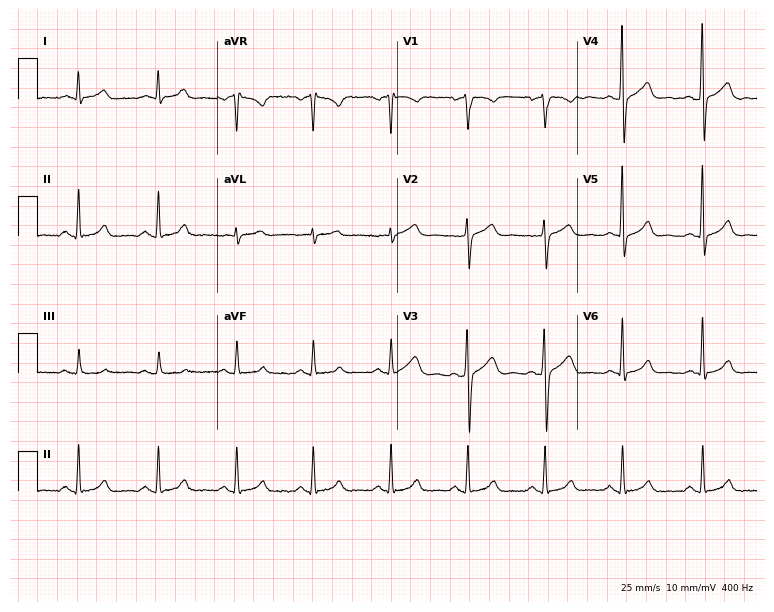
Resting 12-lead electrocardiogram (7.3-second recording at 400 Hz). Patient: a male, 55 years old. Read as a normal ECG.